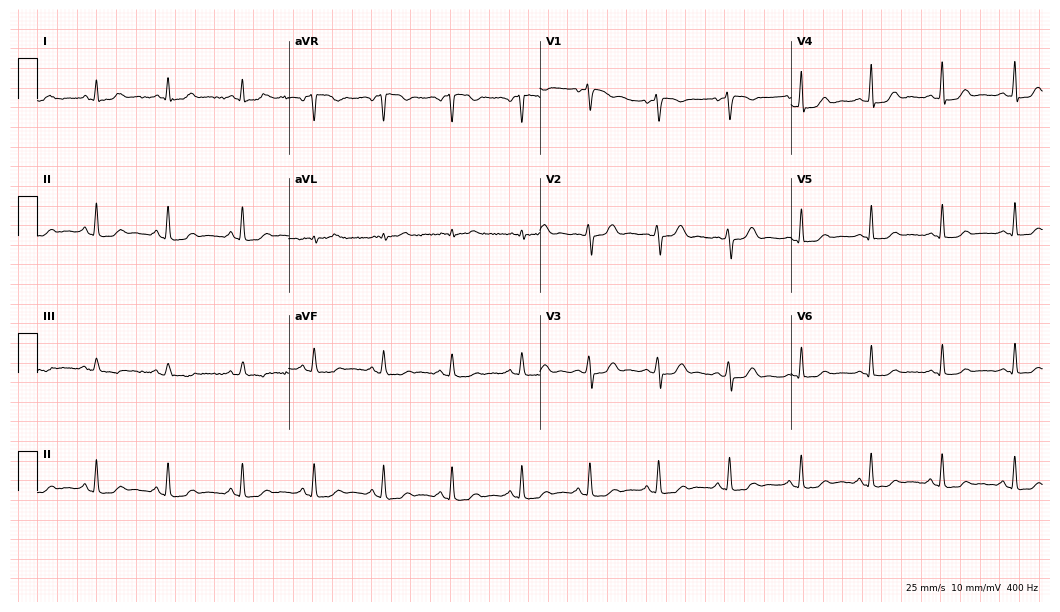
12-lead ECG from a 28-year-old female. Screened for six findings — first-degree AV block, right bundle branch block, left bundle branch block, sinus bradycardia, atrial fibrillation, sinus tachycardia — none is recorded. Other findings, if any, are not listed.